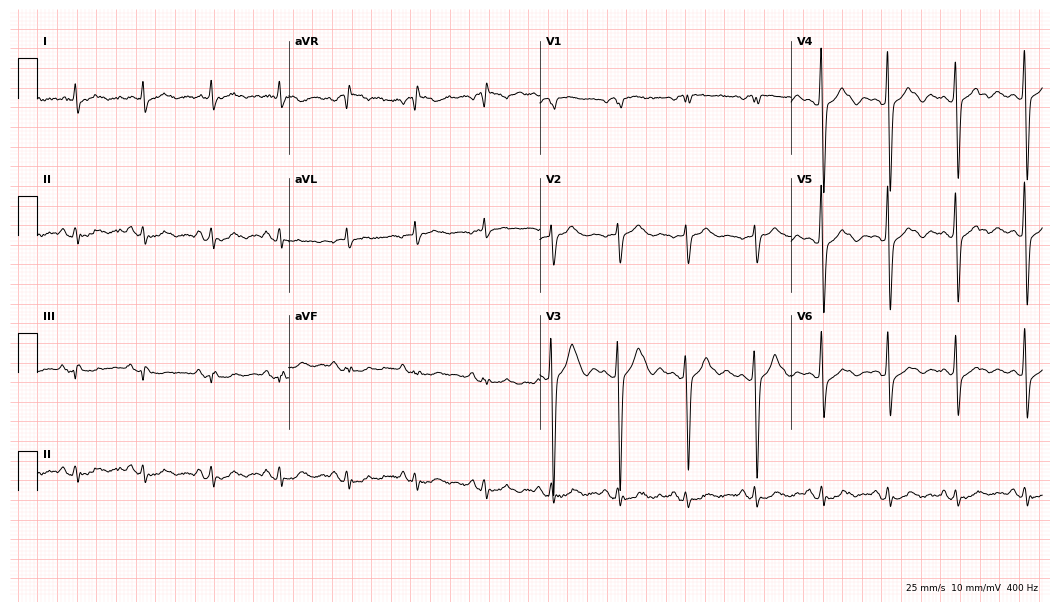
Standard 12-lead ECG recorded from a female, 77 years old. None of these six findings is recorded: first-degree AV block, right bundle branch block (RBBB), left bundle branch block (LBBB), sinus bradycardia, atrial fibrillation (AF), sinus tachycardia.